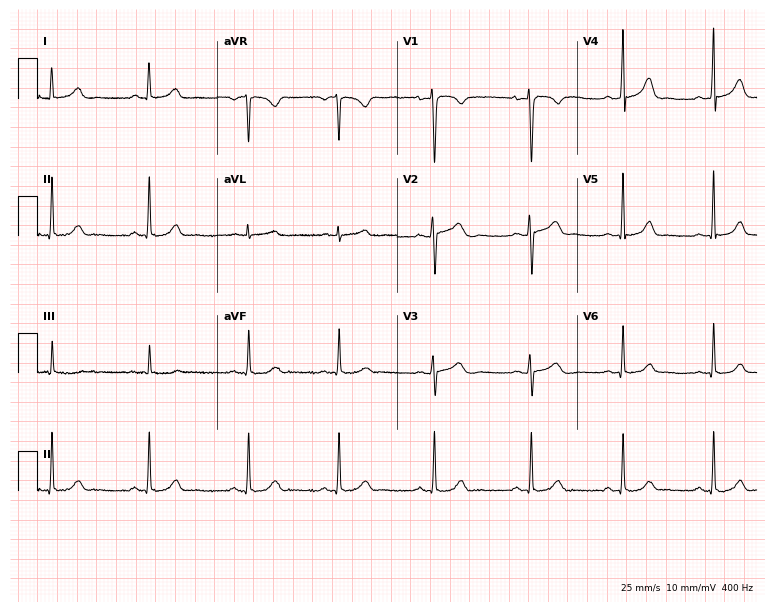
12-lead ECG from a 25-year-old female. Labelled as a normal ECG.